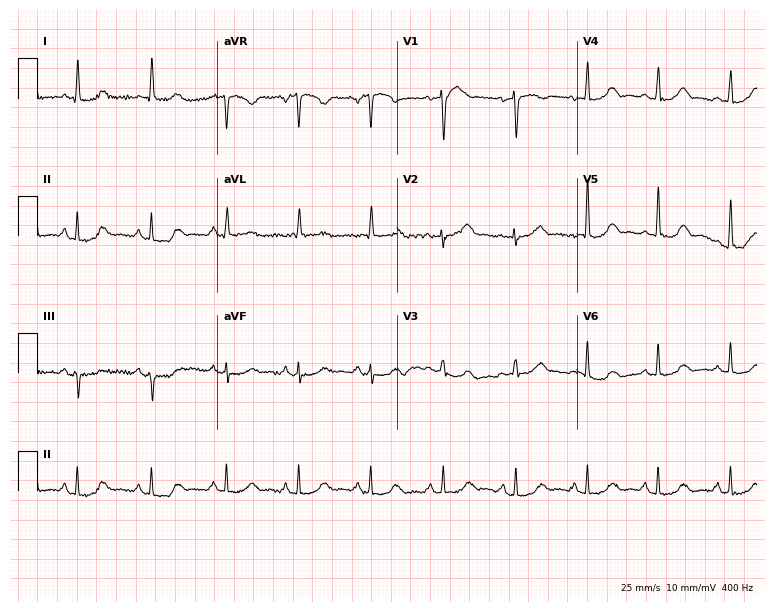
12-lead ECG from a female, 62 years old. Labelled as a normal ECG.